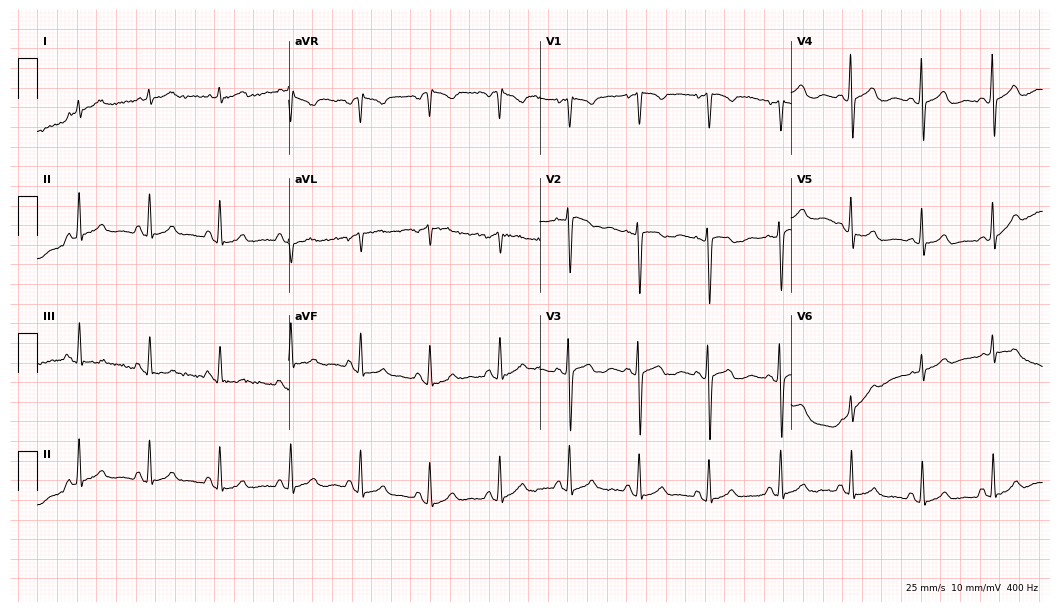
Standard 12-lead ECG recorded from a female patient, 76 years old. None of these six findings is recorded: first-degree AV block, right bundle branch block, left bundle branch block, sinus bradycardia, atrial fibrillation, sinus tachycardia.